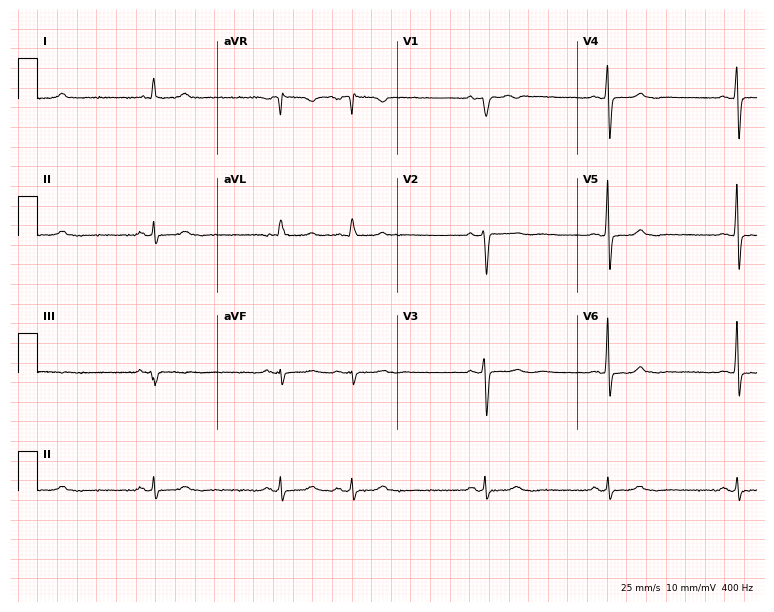
Standard 12-lead ECG recorded from a female, 66 years old. None of these six findings is recorded: first-degree AV block, right bundle branch block, left bundle branch block, sinus bradycardia, atrial fibrillation, sinus tachycardia. Only these six findings were labelled.